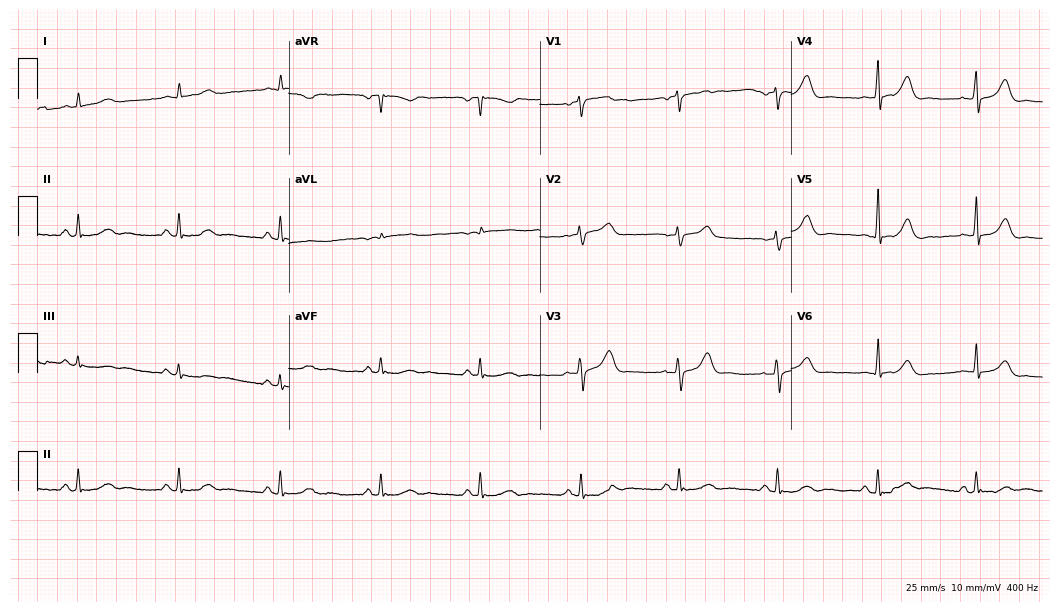
Standard 12-lead ECG recorded from a male, 61 years old (10.2-second recording at 400 Hz). Read as a normal ECG.